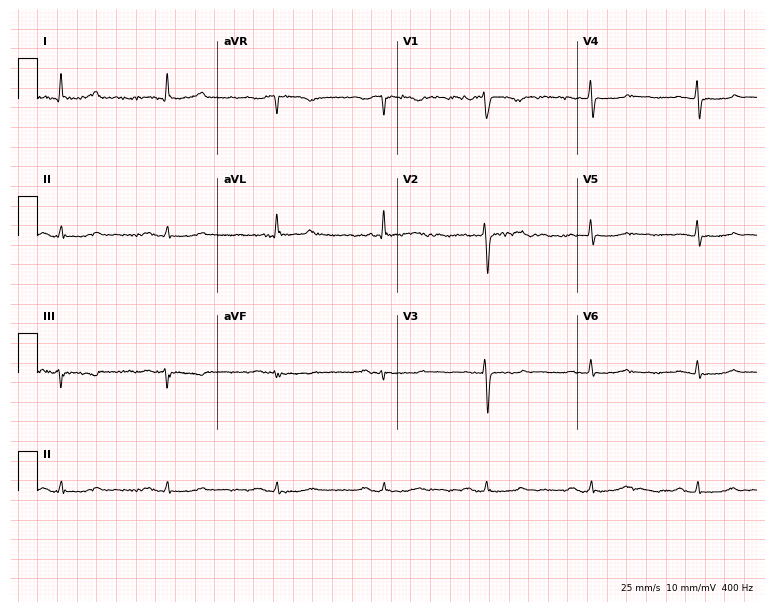
12-lead ECG from a female, 78 years old. Screened for six findings — first-degree AV block, right bundle branch block, left bundle branch block, sinus bradycardia, atrial fibrillation, sinus tachycardia — none is recorded.